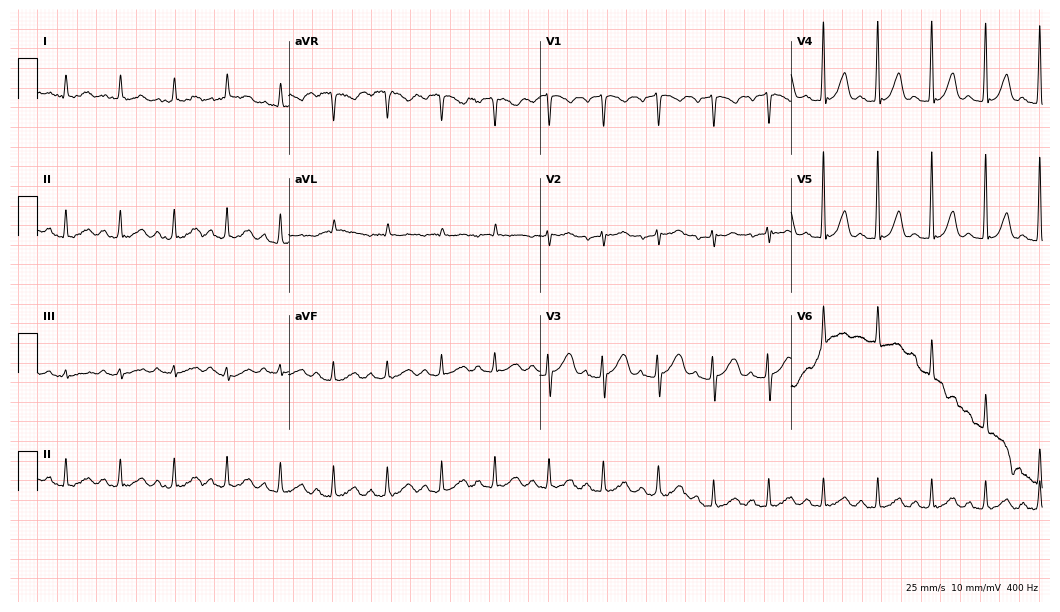
Resting 12-lead electrocardiogram (10.2-second recording at 400 Hz). Patient: a 52-year-old female. The tracing shows sinus tachycardia (a sinus rate of 100 beats per minute or more).